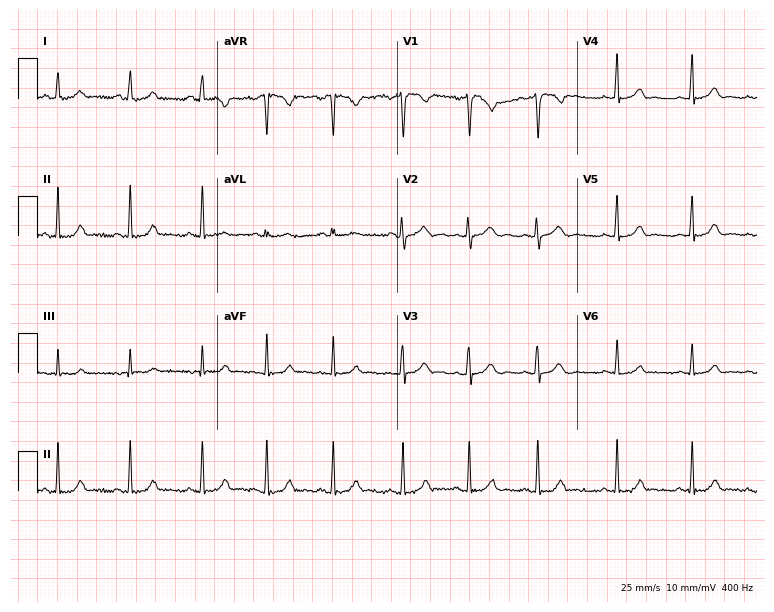
12-lead ECG (7.3-second recording at 400 Hz) from a female, 22 years old. Labelled as a normal ECG.